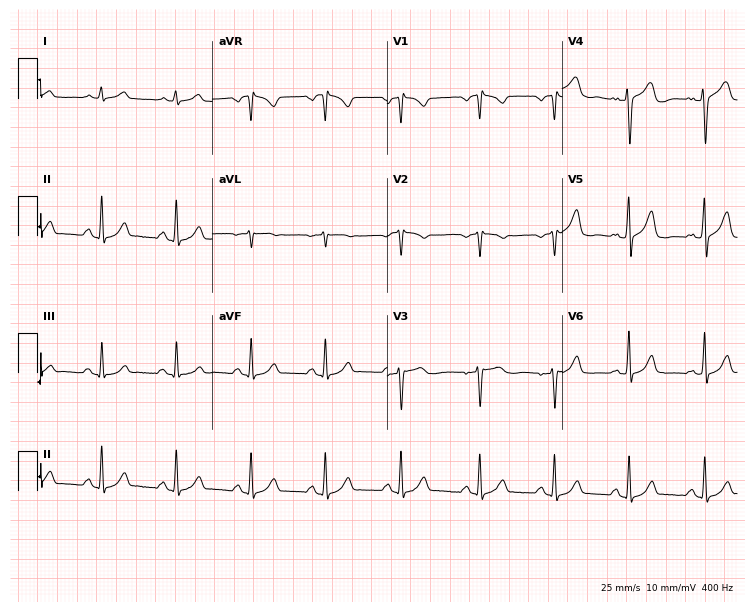
Electrocardiogram (7.1-second recording at 400 Hz), a male, 44 years old. Overall reading on record: normal ECG.